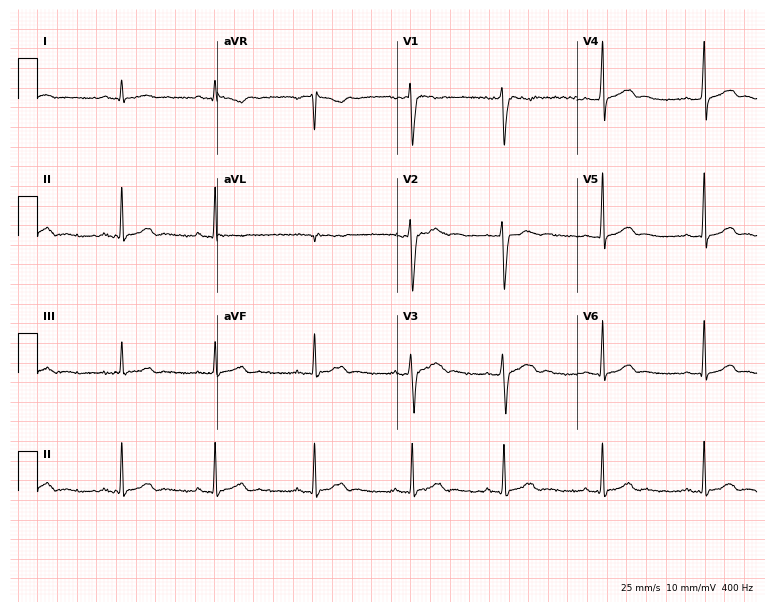
12-lead ECG from a 24-year-old man (7.3-second recording at 400 Hz). No first-degree AV block, right bundle branch block, left bundle branch block, sinus bradycardia, atrial fibrillation or sinus tachycardia recorded for this tracing. Other findings, if any, are not listed.